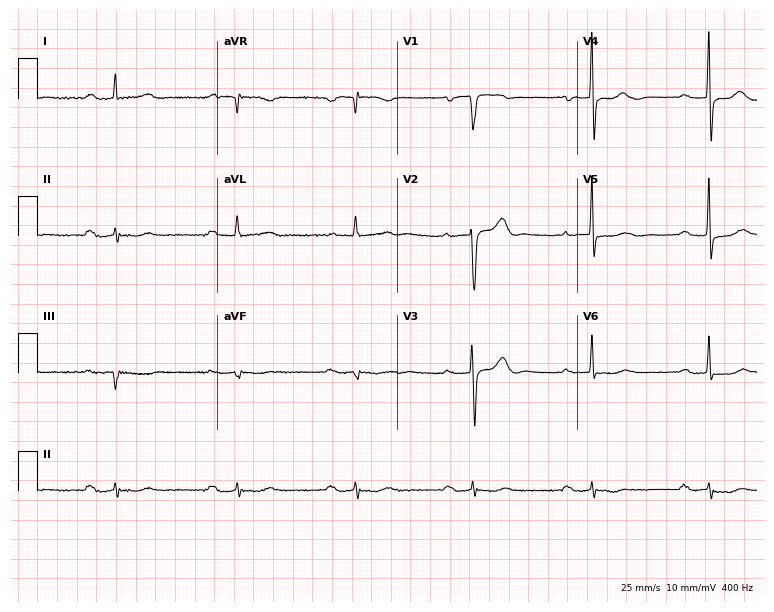
12-lead ECG from an 81-year-old man (7.3-second recording at 400 Hz). Shows first-degree AV block.